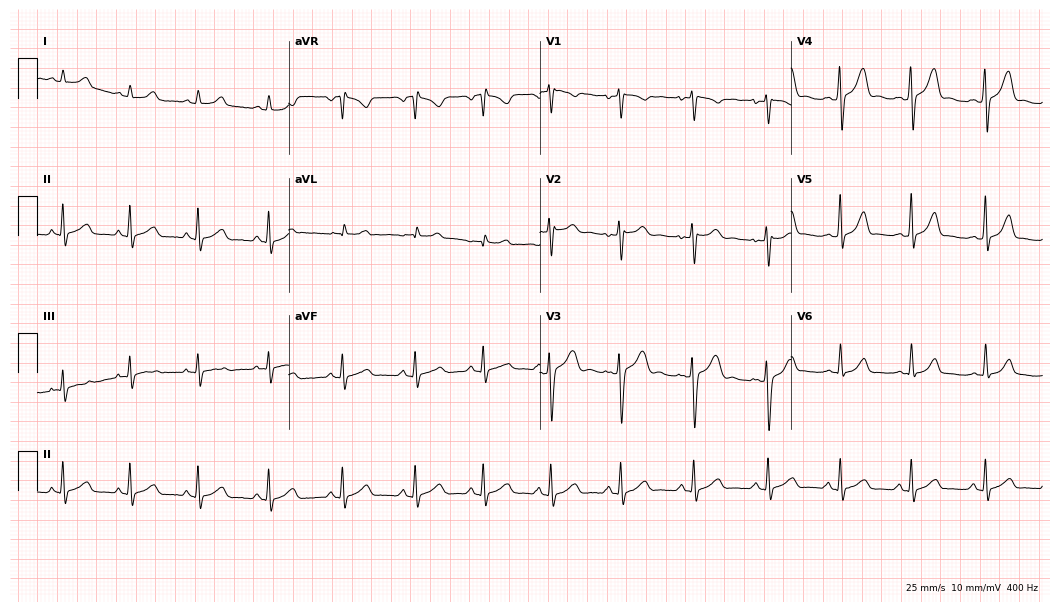
12-lead ECG from a 19-year-old female. Labelled as a normal ECG.